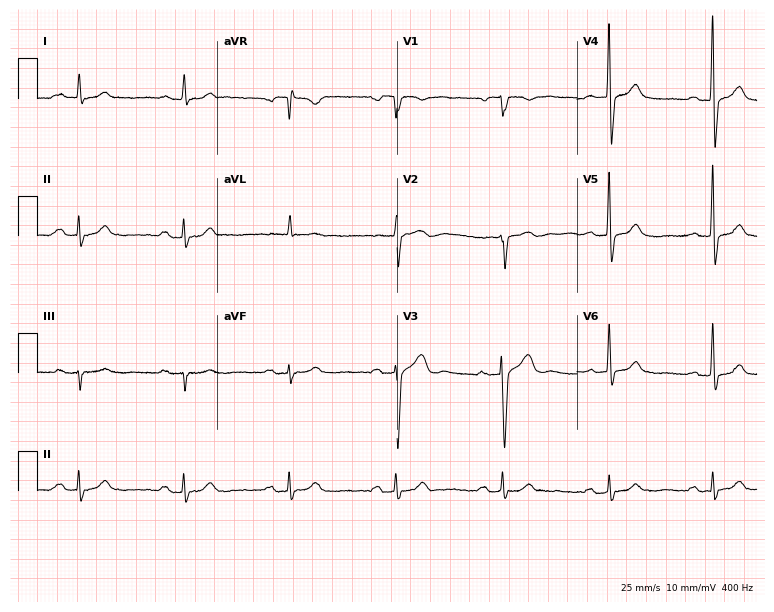
ECG (7.3-second recording at 400 Hz) — a male, 77 years old. Findings include first-degree AV block.